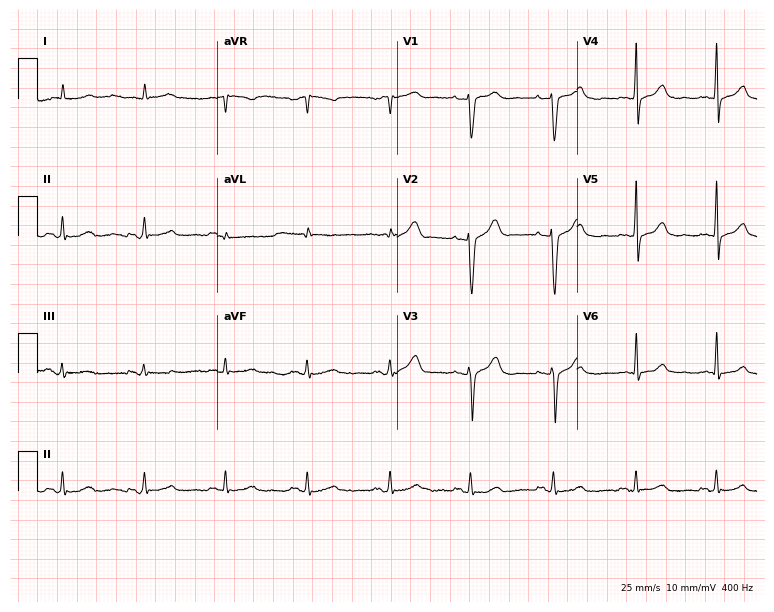
Electrocardiogram (7.3-second recording at 400 Hz), a male patient, 61 years old. Overall reading on record: normal ECG.